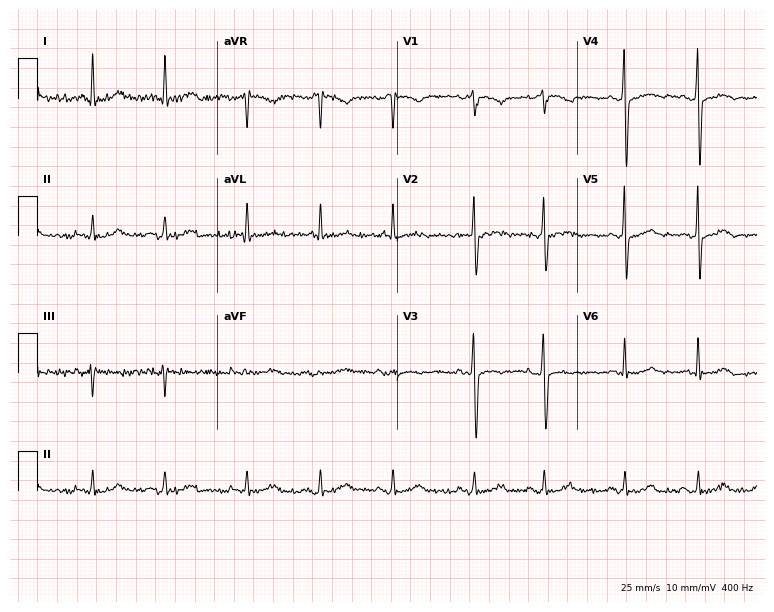
ECG — a 68-year-old female patient. Screened for six findings — first-degree AV block, right bundle branch block (RBBB), left bundle branch block (LBBB), sinus bradycardia, atrial fibrillation (AF), sinus tachycardia — none is recorded.